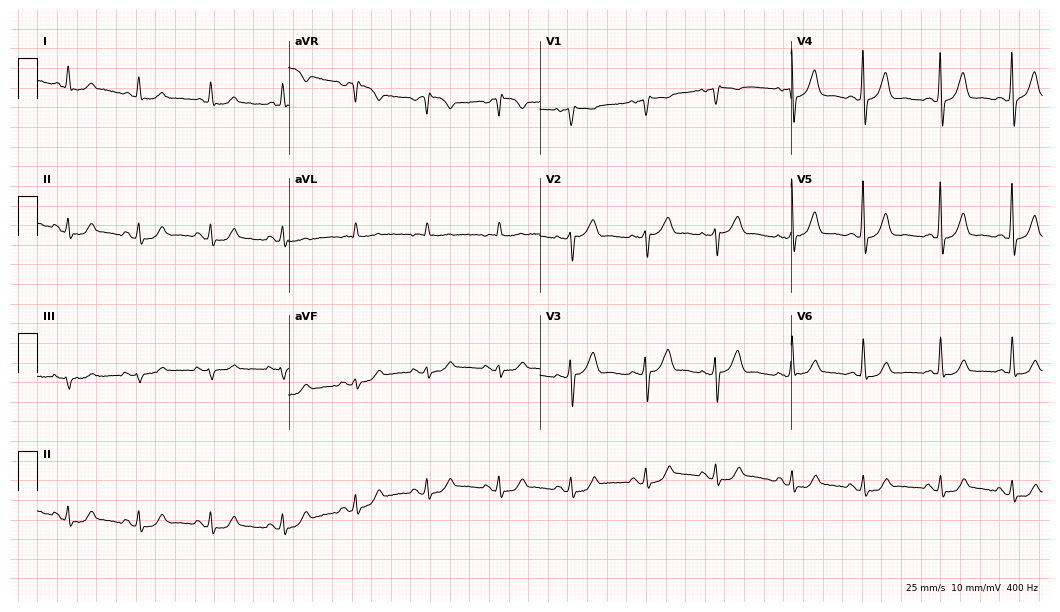
12-lead ECG from a 71-year-old male. Screened for six findings — first-degree AV block, right bundle branch block, left bundle branch block, sinus bradycardia, atrial fibrillation, sinus tachycardia — none is recorded.